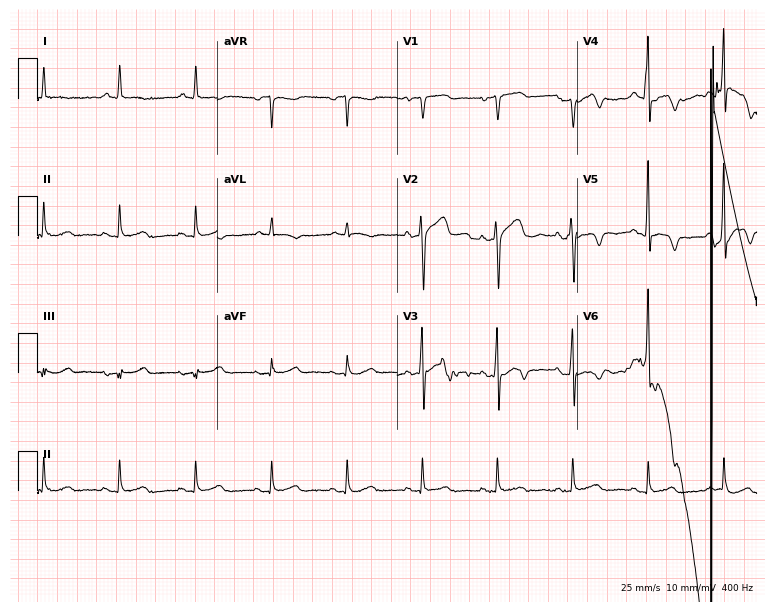
Standard 12-lead ECG recorded from a male, 56 years old (7.3-second recording at 400 Hz). None of these six findings is recorded: first-degree AV block, right bundle branch block, left bundle branch block, sinus bradycardia, atrial fibrillation, sinus tachycardia.